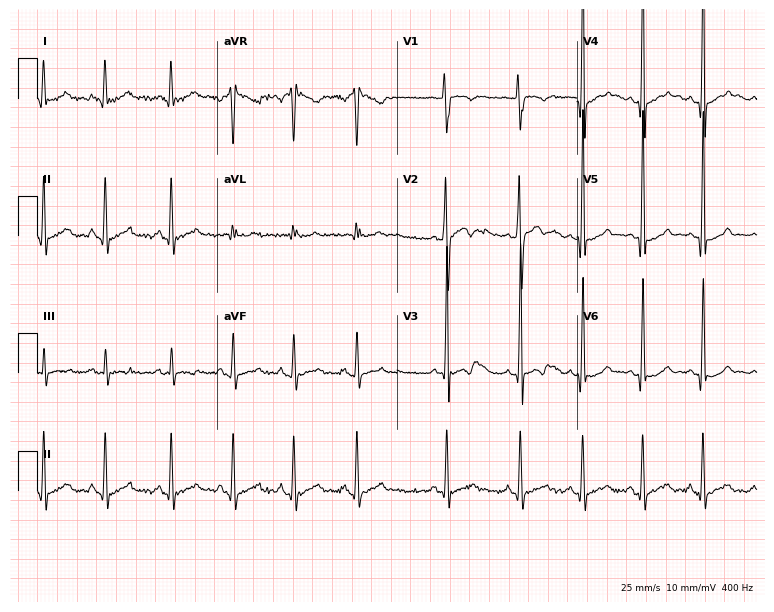
12-lead ECG from a 23-year-old male (7.3-second recording at 400 Hz). No first-degree AV block, right bundle branch block, left bundle branch block, sinus bradycardia, atrial fibrillation or sinus tachycardia recorded for this tracing.